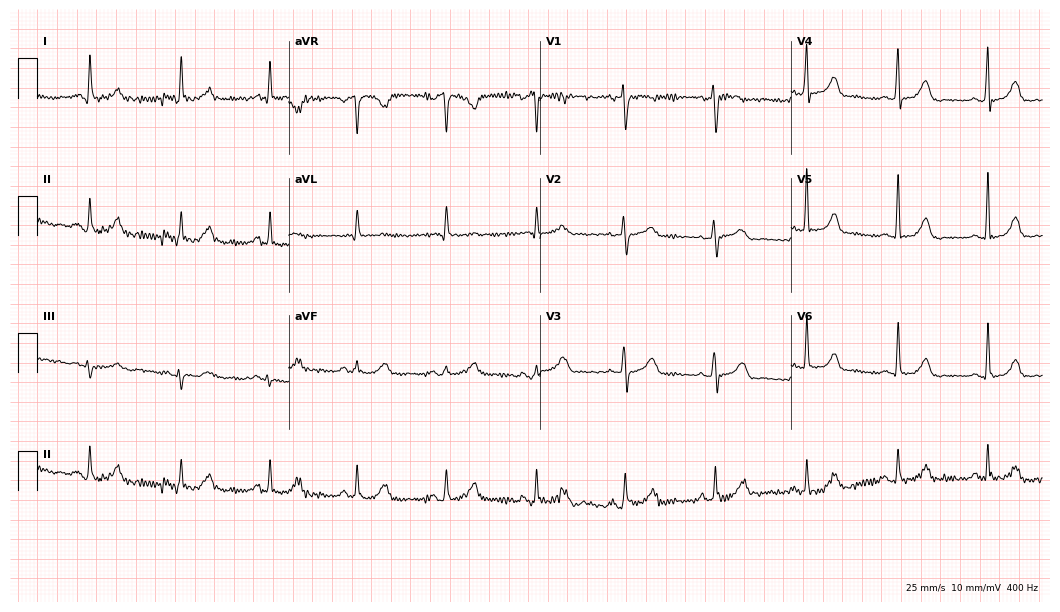
Resting 12-lead electrocardiogram. Patient: a 61-year-old female. Read as a normal ECG.